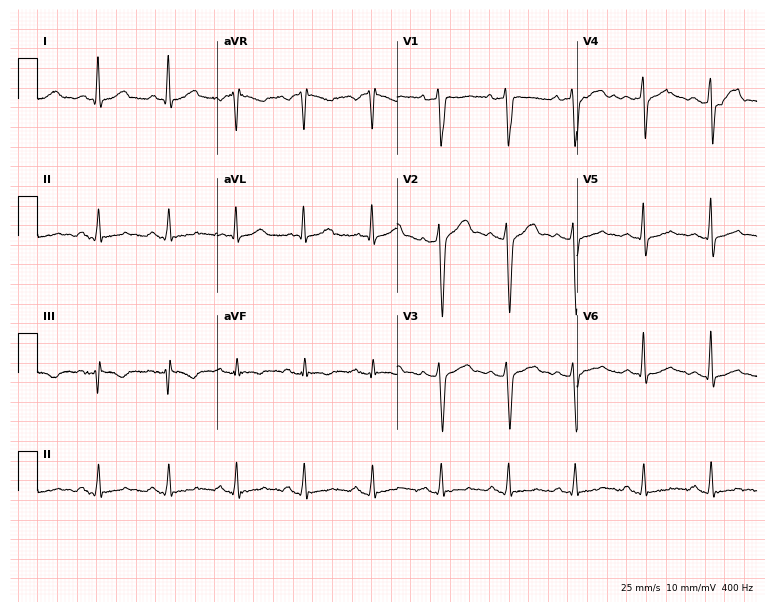
Electrocardiogram, a 39-year-old male. Of the six screened findings (first-degree AV block, right bundle branch block, left bundle branch block, sinus bradycardia, atrial fibrillation, sinus tachycardia), none is recorded.